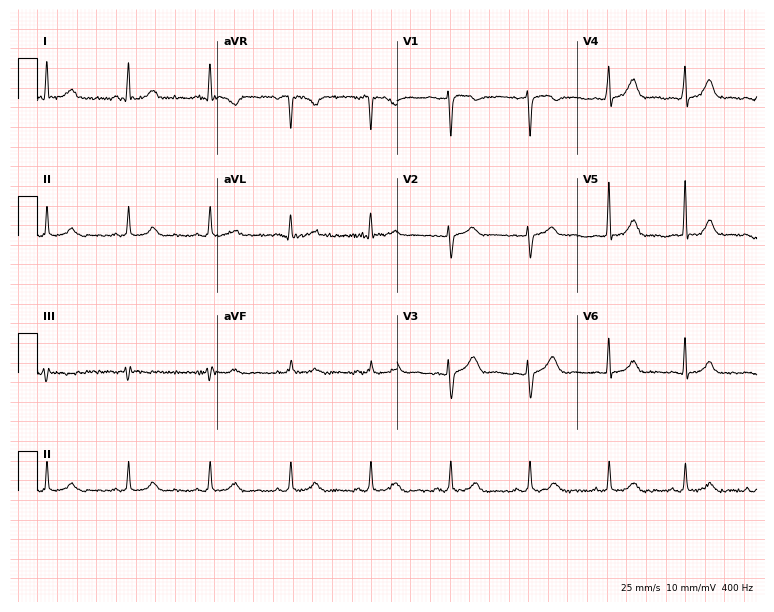
12-lead ECG from a 51-year-old female (7.3-second recording at 400 Hz). No first-degree AV block, right bundle branch block (RBBB), left bundle branch block (LBBB), sinus bradycardia, atrial fibrillation (AF) or sinus tachycardia recorded for this tracing.